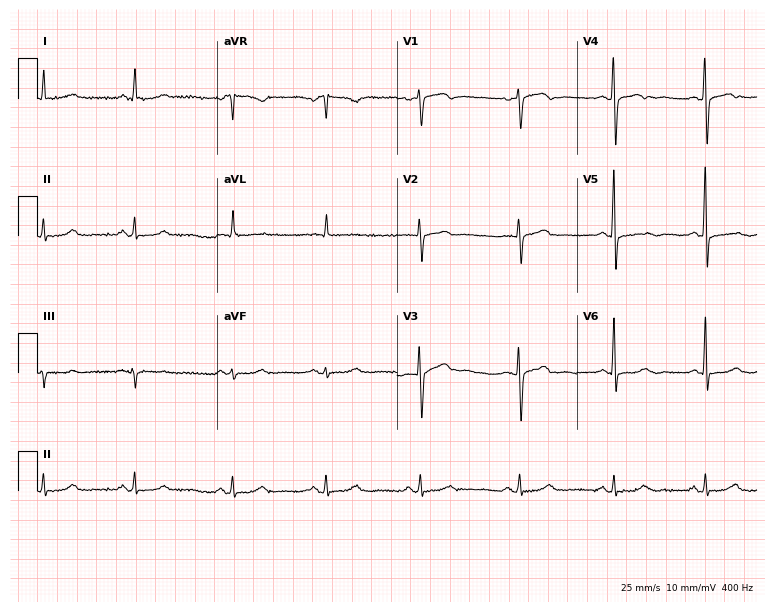
12-lead ECG from a female patient, 62 years old. Screened for six findings — first-degree AV block, right bundle branch block, left bundle branch block, sinus bradycardia, atrial fibrillation, sinus tachycardia — none is recorded. Other findings, if any, are not listed.